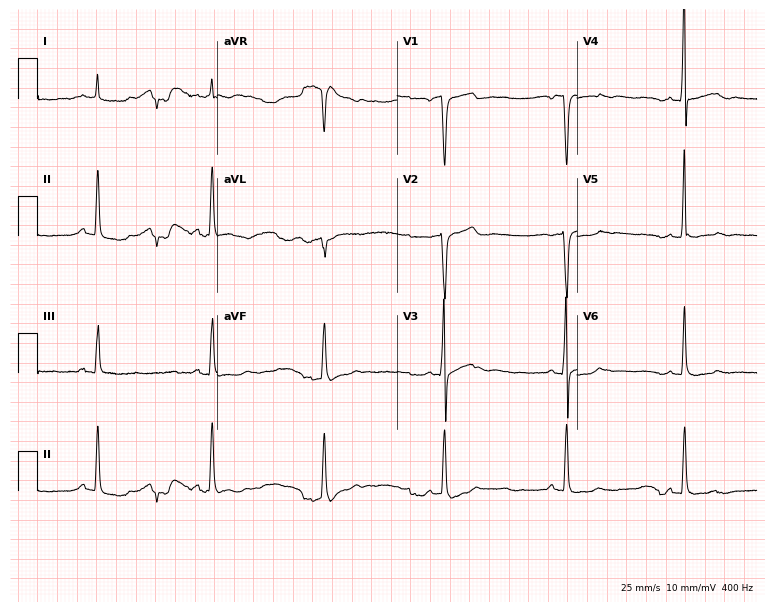
Electrocardiogram (7.3-second recording at 400 Hz), a man, 49 years old. Interpretation includes sinus bradycardia (a sinus rate of 50 beats per minute or less).